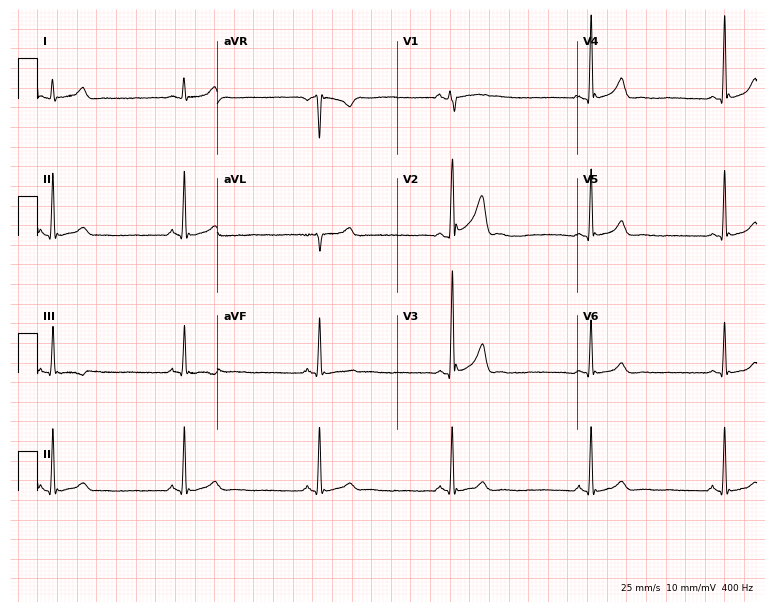
Electrocardiogram, a 33-year-old man. Interpretation includes sinus bradycardia (a sinus rate of 50 beats per minute or less).